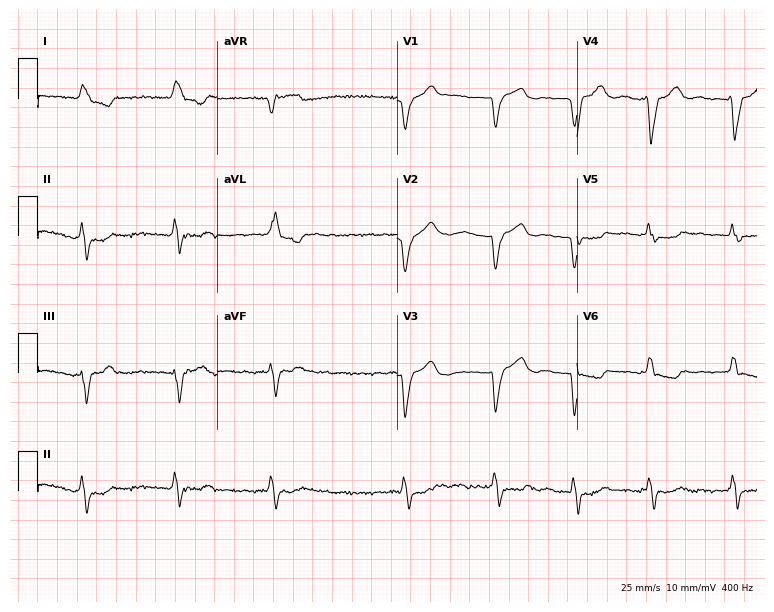
ECG (7.3-second recording at 400 Hz) — a 75-year-old woman. Findings include left bundle branch block, atrial fibrillation.